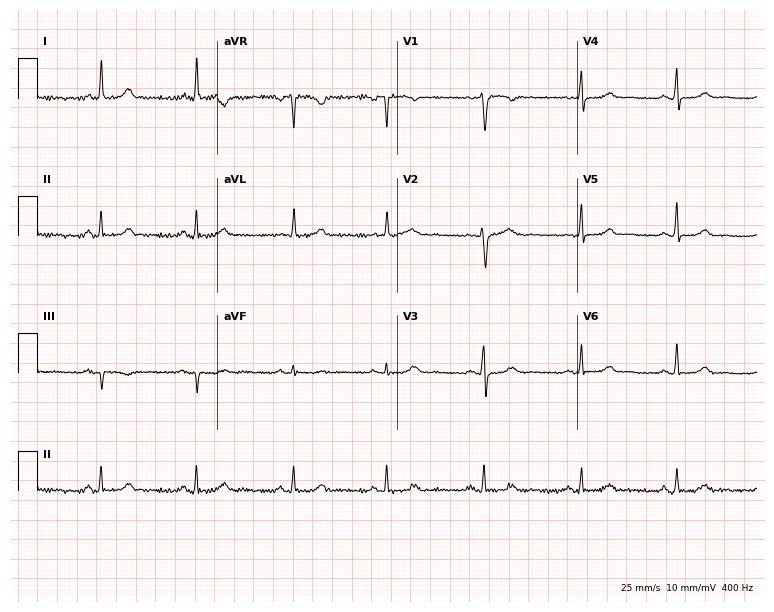
Standard 12-lead ECG recorded from a woman, 66 years old. Read as a normal ECG.